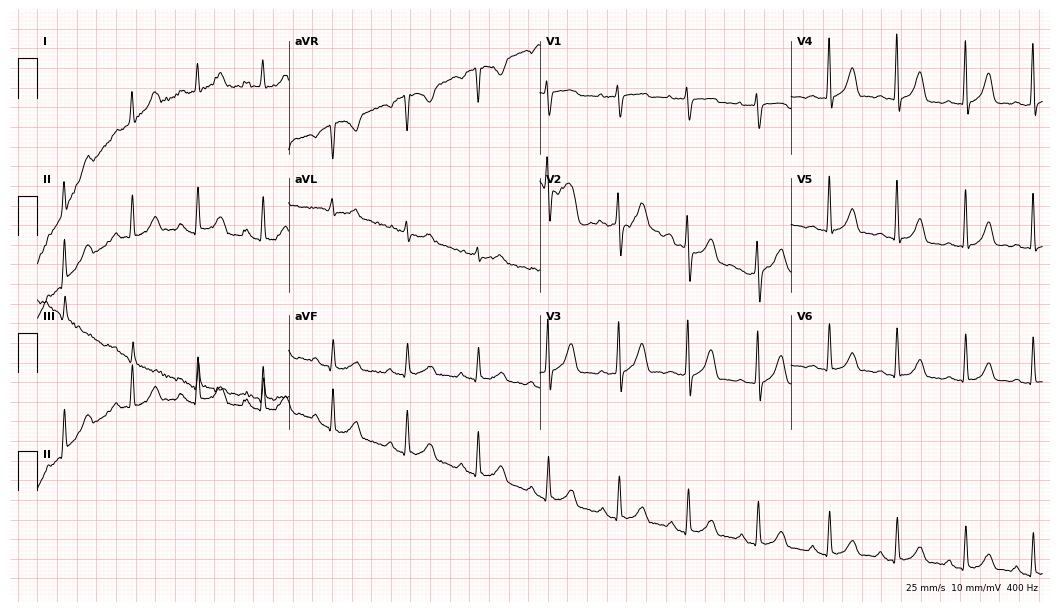
12-lead ECG (10.2-second recording at 400 Hz) from a 42-year-old female patient. Screened for six findings — first-degree AV block, right bundle branch block, left bundle branch block, sinus bradycardia, atrial fibrillation, sinus tachycardia — none is recorded.